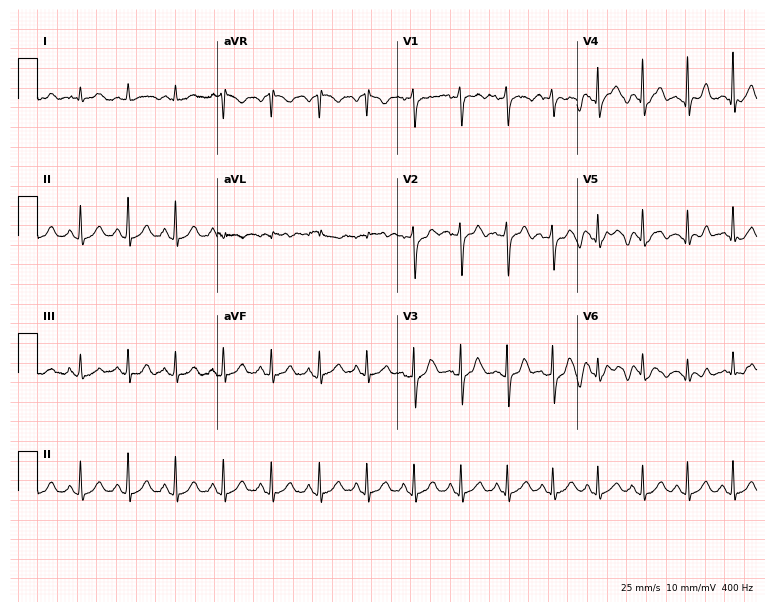
Resting 12-lead electrocardiogram. Patient: a 19-year-old male. The tracing shows sinus tachycardia (a sinus rate of 100 beats per minute or more).